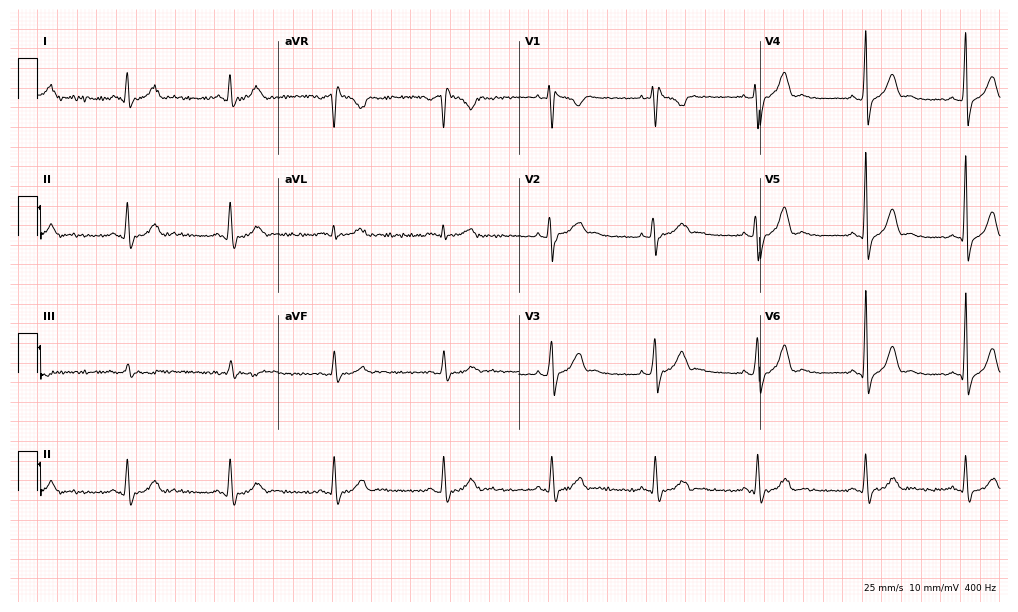
ECG (9.8-second recording at 400 Hz) — a 23-year-old male. Screened for six findings — first-degree AV block, right bundle branch block, left bundle branch block, sinus bradycardia, atrial fibrillation, sinus tachycardia — none is recorded.